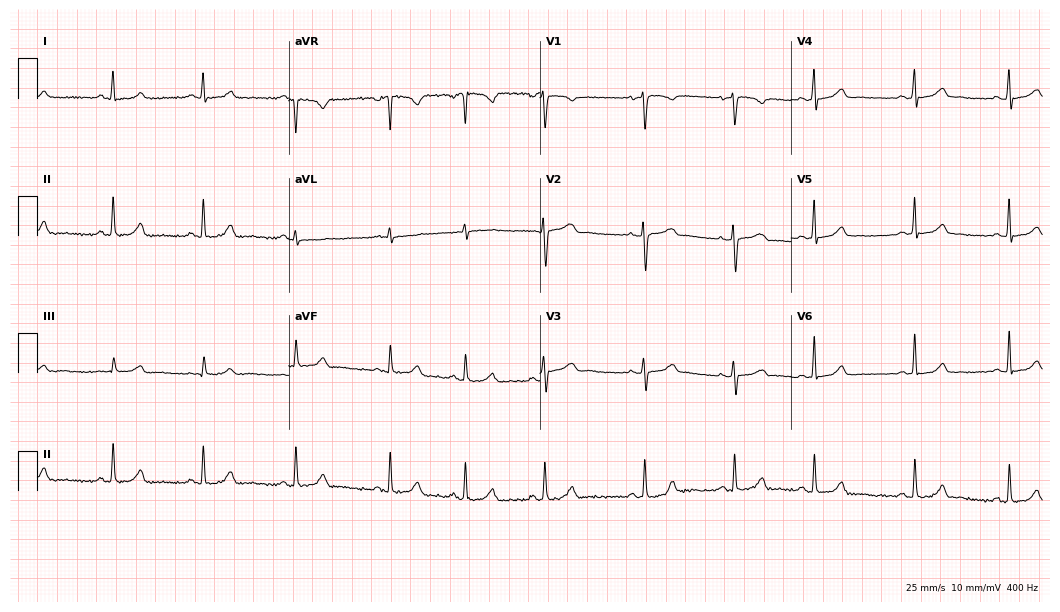
12-lead ECG from an 18-year-old female (10.2-second recording at 400 Hz). Recorded interpretation: within normal limits.